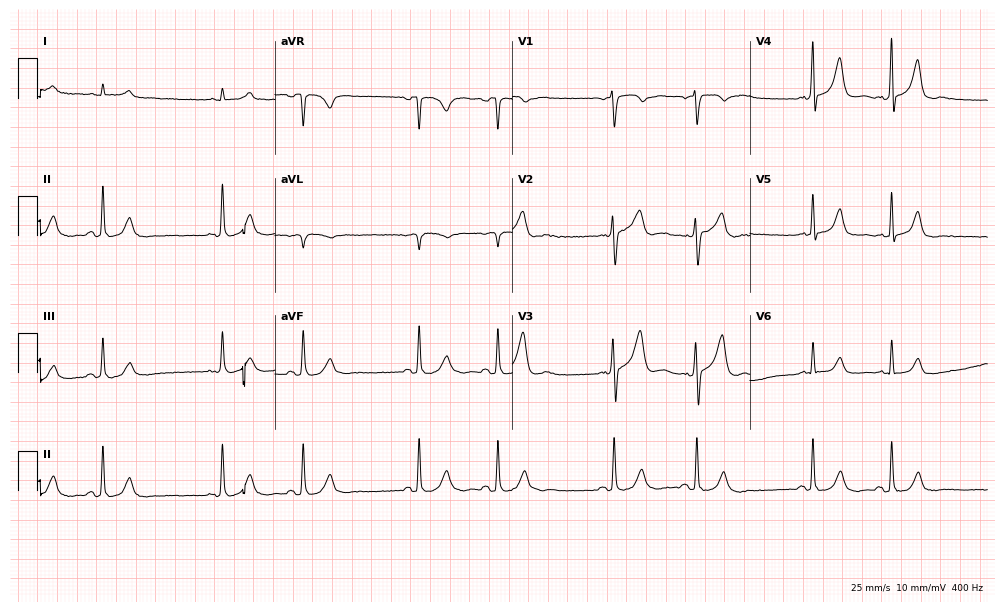
Resting 12-lead electrocardiogram. Patient: a 67-year-old man. None of these six findings is recorded: first-degree AV block, right bundle branch block (RBBB), left bundle branch block (LBBB), sinus bradycardia, atrial fibrillation (AF), sinus tachycardia. Only these six findings were labelled.